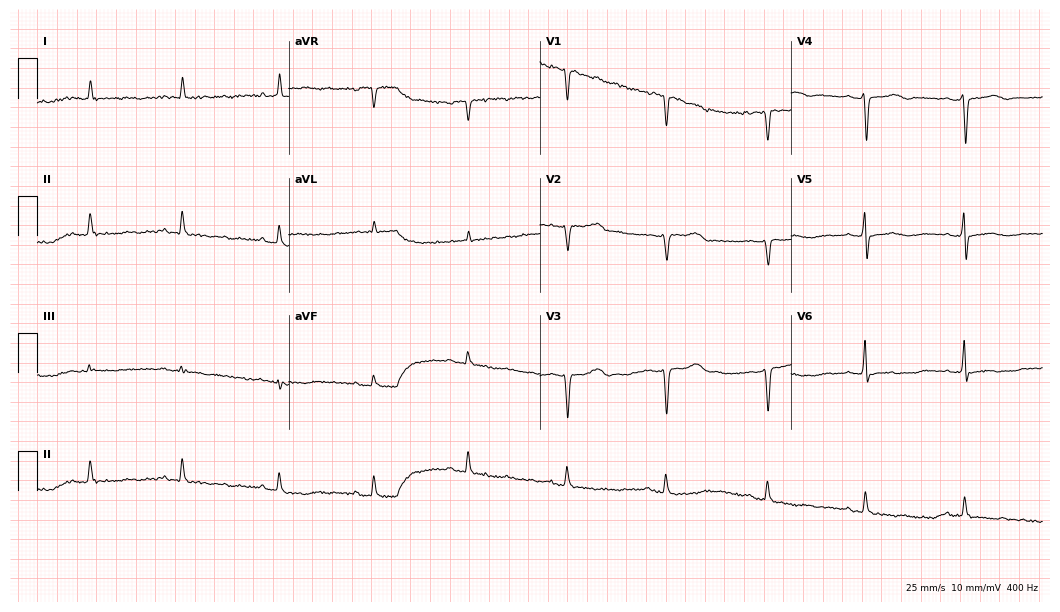
12-lead ECG from a 53-year-old female patient (10.2-second recording at 400 Hz). Recorded interpretation: within normal limits.